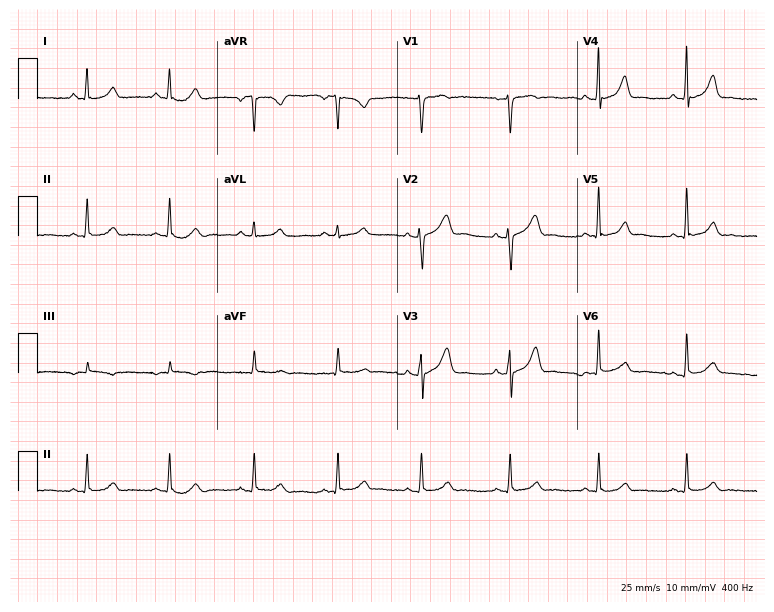
Standard 12-lead ECG recorded from a female patient, 42 years old (7.3-second recording at 400 Hz). Read as a normal ECG.